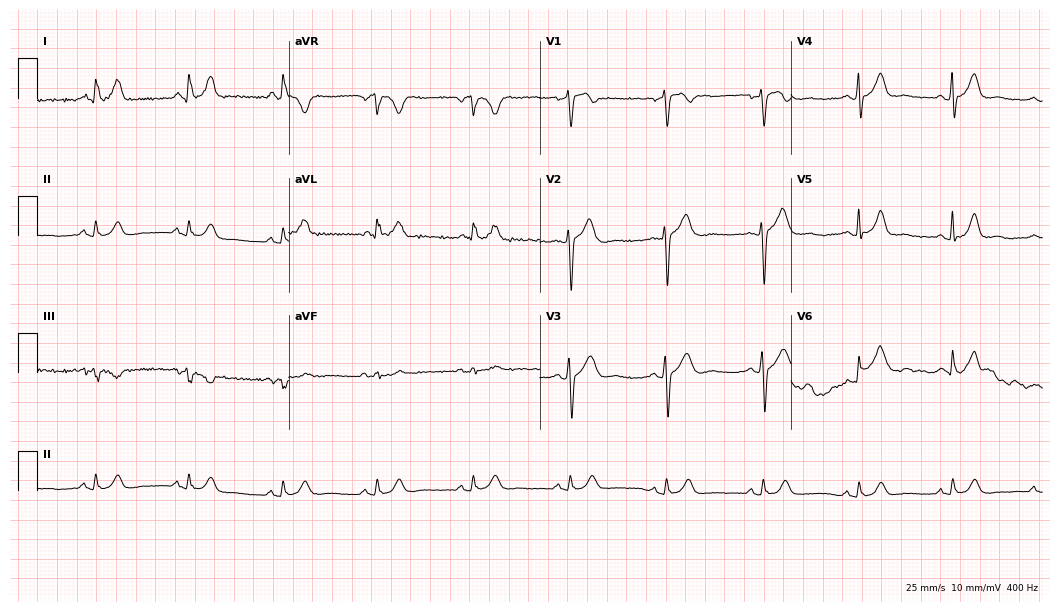
Electrocardiogram (10.2-second recording at 400 Hz), a 52-year-old male patient. Overall reading on record: normal ECG.